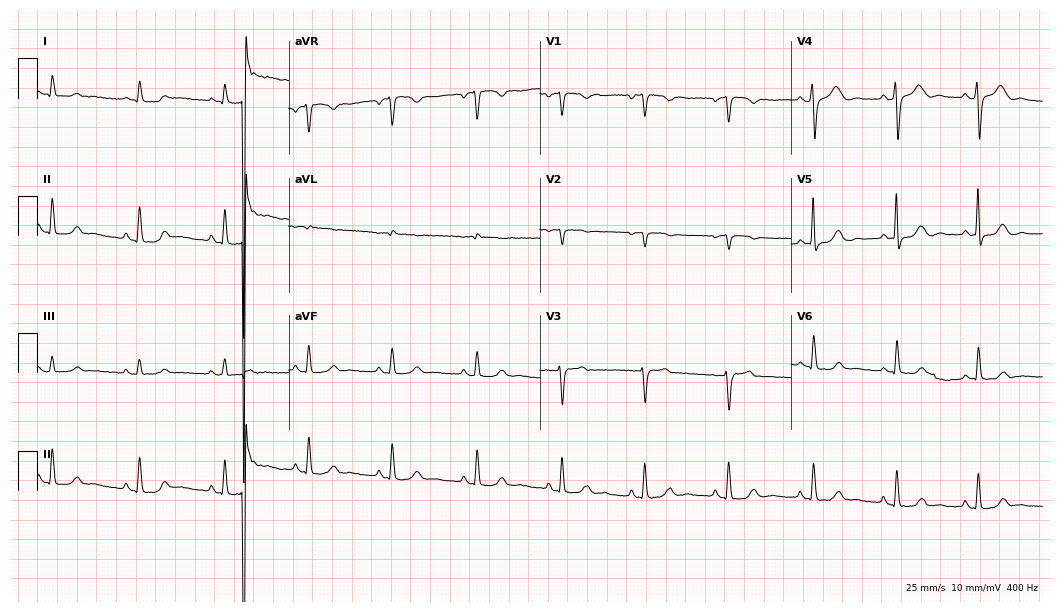
Electrocardiogram (10.2-second recording at 400 Hz), a woman, 52 years old. Overall reading on record: normal ECG.